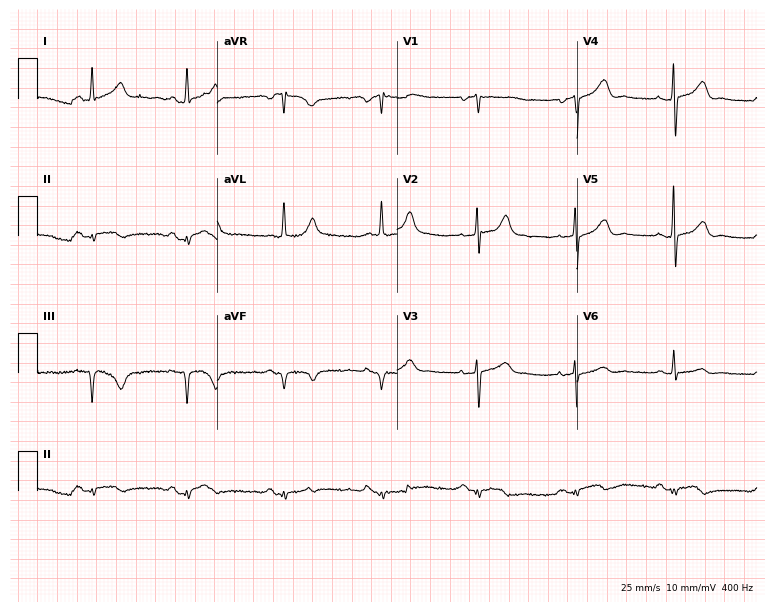
12-lead ECG from a female, 75 years old (7.3-second recording at 400 Hz). No first-degree AV block, right bundle branch block, left bundle branch block, sinus bradycardia, atrial fibrillation or sinus tachycardia recorded for this tracing. Findings outside these six are not listed.